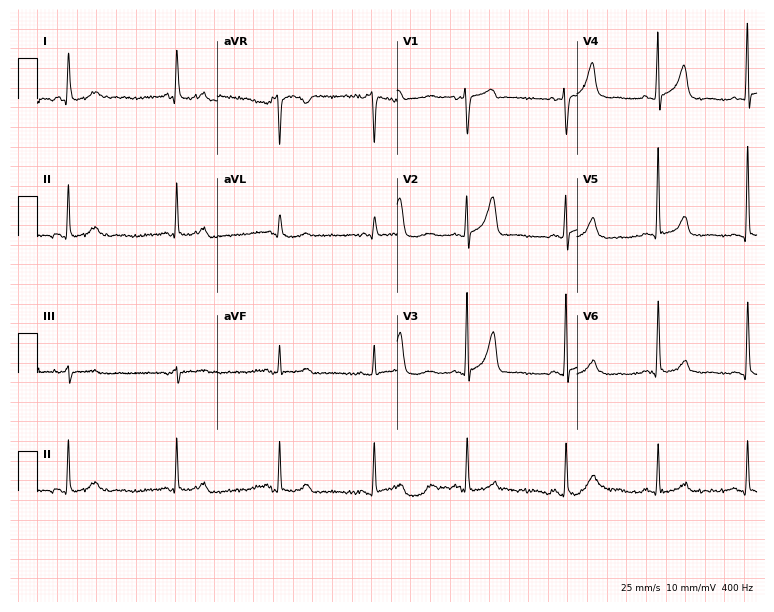
Resting 12-lead electrocardiogram (7.3-second recording at 400 Hz). Patient: a male, 67 years old. Read as a normal ECG.